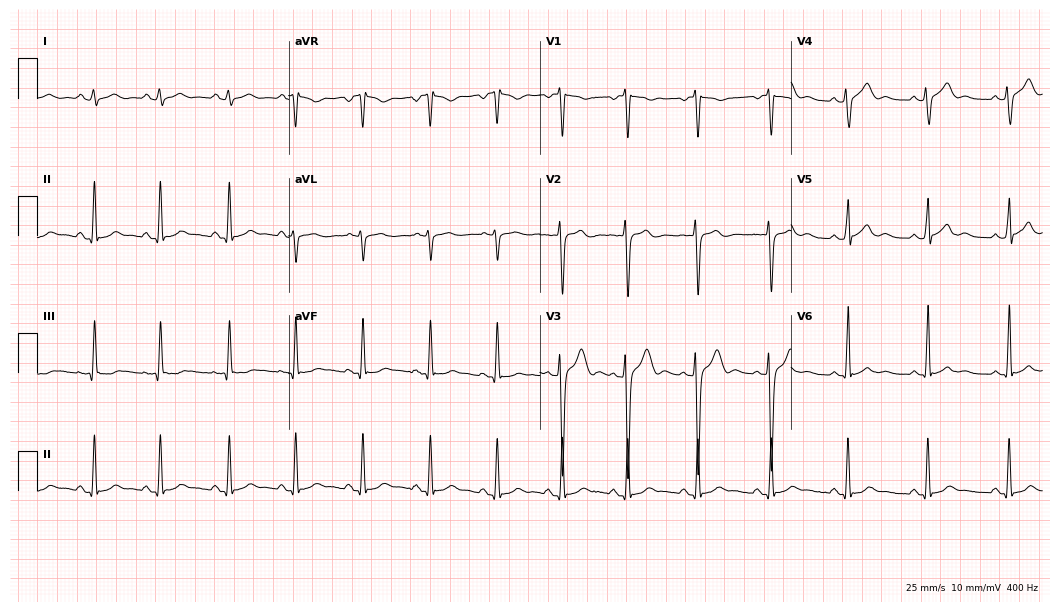
12-lead ECG (10.2-second recording at 400 Hz) from a man, 21 years old. Labelled as a normal ECG.